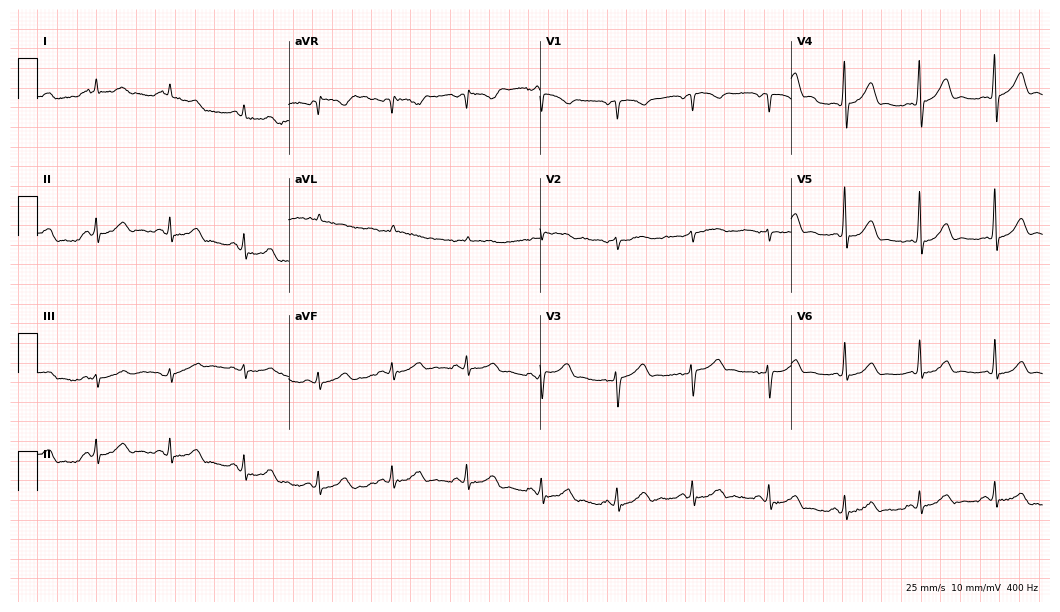
12-lead ECG (10.2-second recording at 400 Hz) from a 58-year-old male. Screened for six findings — first-degree AV block, right bundle branch block (RBBB), left bundle branch block (LBBB), sinus bradycardia, atrial fibrillation (AF), sinus tachycardia — none is recorded.